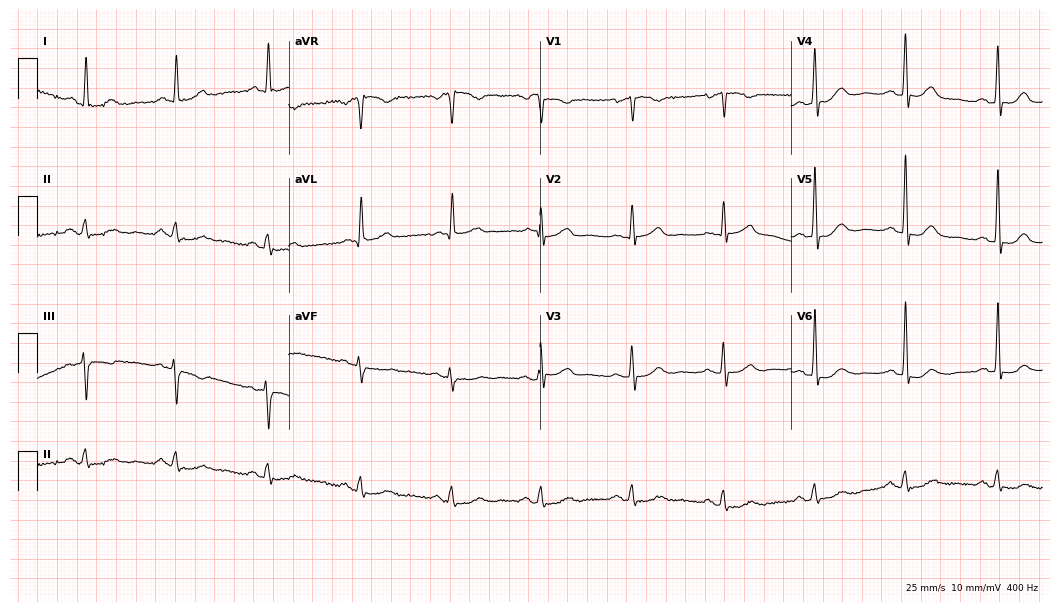
ECG (10.2-second recording at 400 Hz) — an 80-year-old woman. Screened for six findings — first-degree AV block, right bundle branch block, left bundle branch block, sinus bradycardia, atrial fibrillation, sinus tachycardia — none is recorded. Only these six findings were labelled.